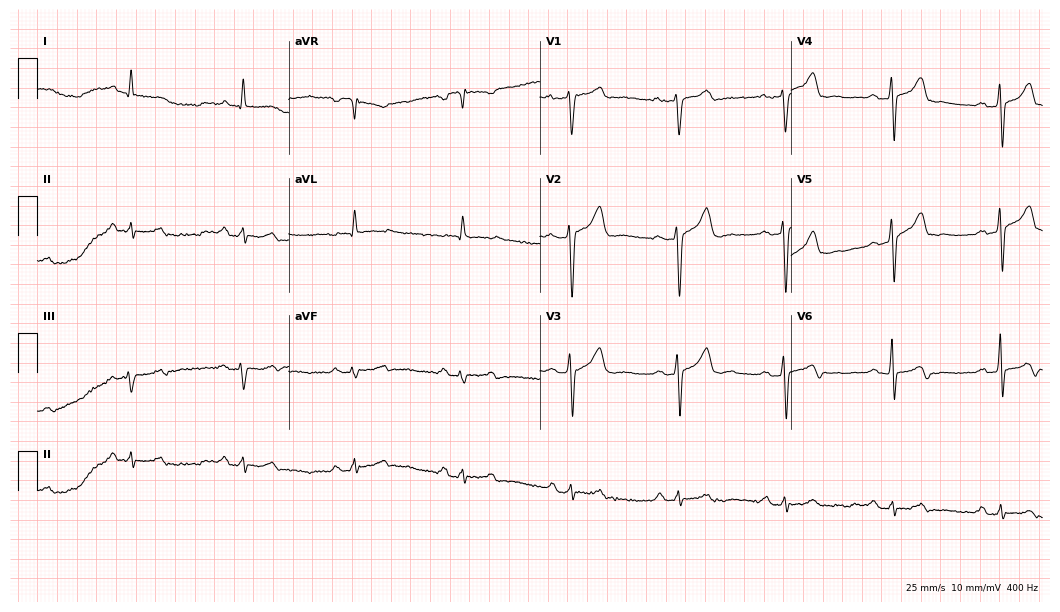
Electrocardiogram (10.2-second recording at 400 Hz), a 60-year-old male patient. Of the six screened findings (first-degree AV block, right bundle branch block, left bundle branch block, sinus bradycardia, atrial fibrillation, sinus tachycardia), none is recorded.